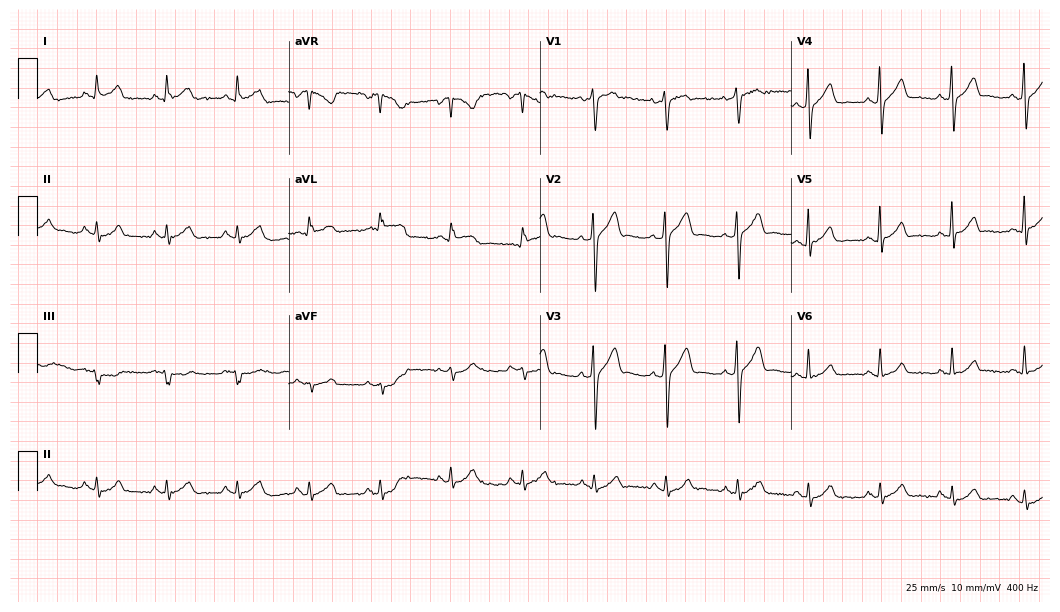
ECG — a 40-year-old male. Labelled as a normal ECG.